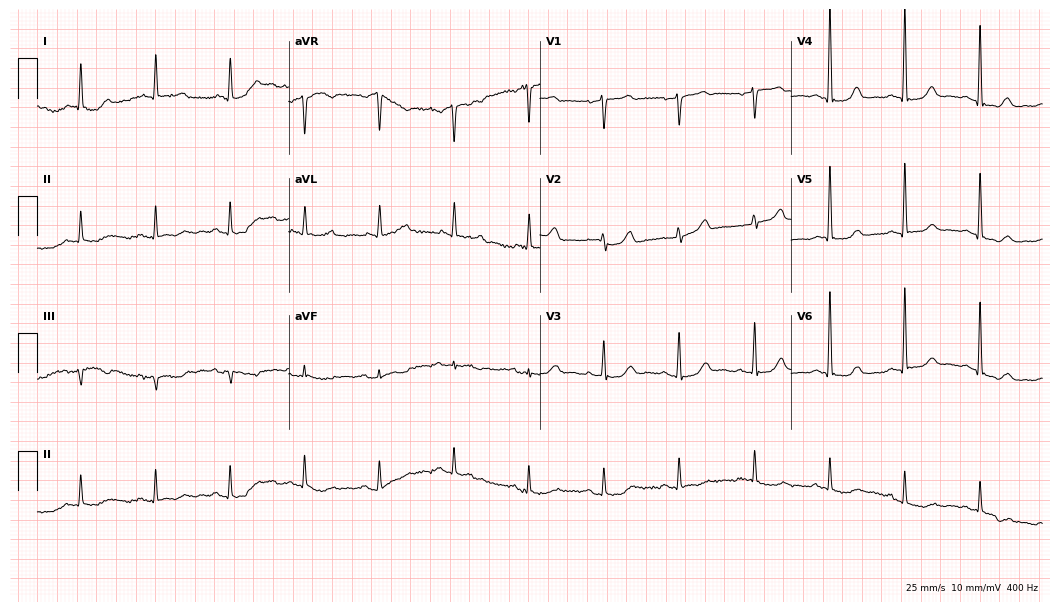
12-lead ECG from a woman, 78 years old (10.2-second recording at 400 Hz). No first-degree AV block, right bundle branch block, left bundle branch block, sinus bradycardia, atrial fibrillation or sinus tachycardia recorded for this tracing. Only these six findings were labelled.